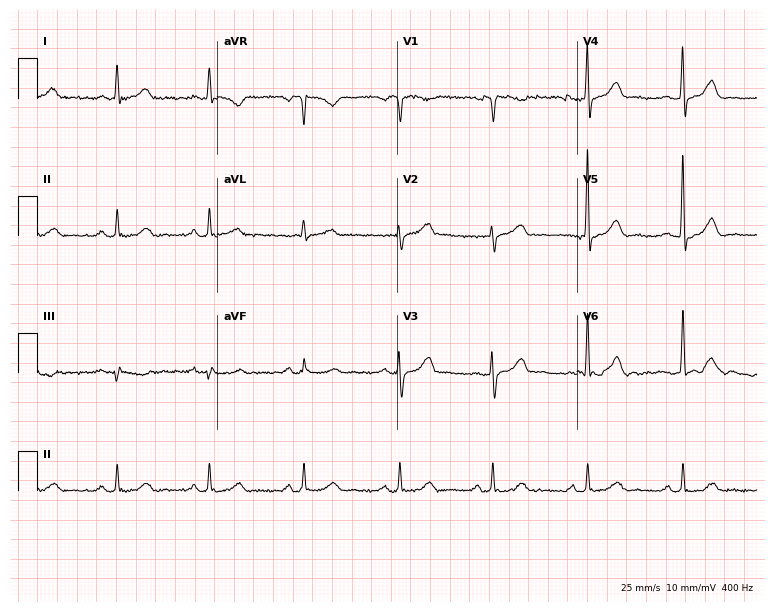
Resting 12-lead electrocardiogram (7.3-second recording at 400 Hz). Patient: a 64-year-old woman. Read as a normal ECG.